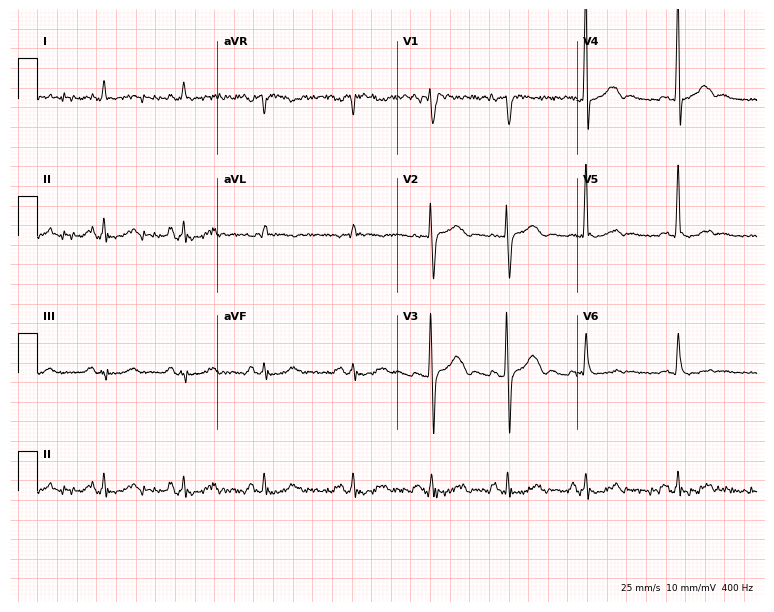
ECG — a 44-year-old male. Screened for six findings — first-degree AV block, right bundle branch block, left bundle branch block, sinus bradycardia, atrial fibrillation, sinus tachycardia — none is recorded. Findings outside these six are not listed.